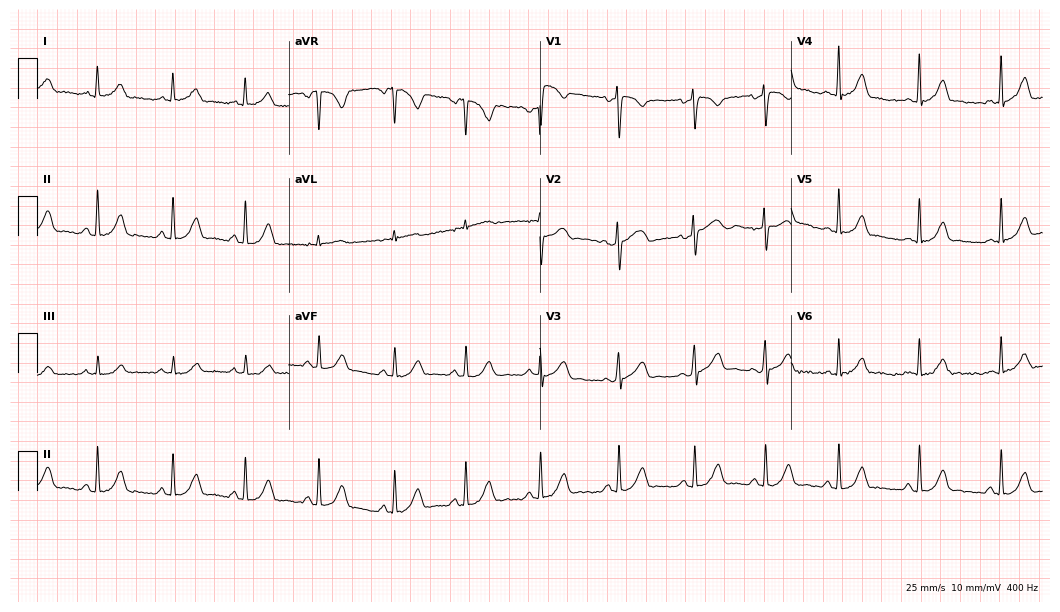
12-lead ECG (10.2-second recording at 400 Hz) from a female, 27 years old. Labelled as a normal ECG.